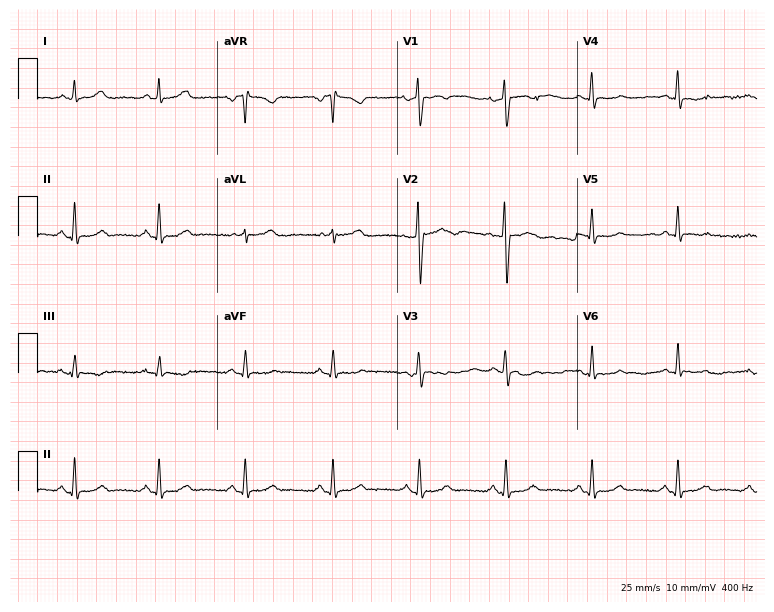
Resting 12-lead electrocardiogram (7.3-second recording at 400 Hz). Patient: a female, 33 years old. Read as a normal ECG.